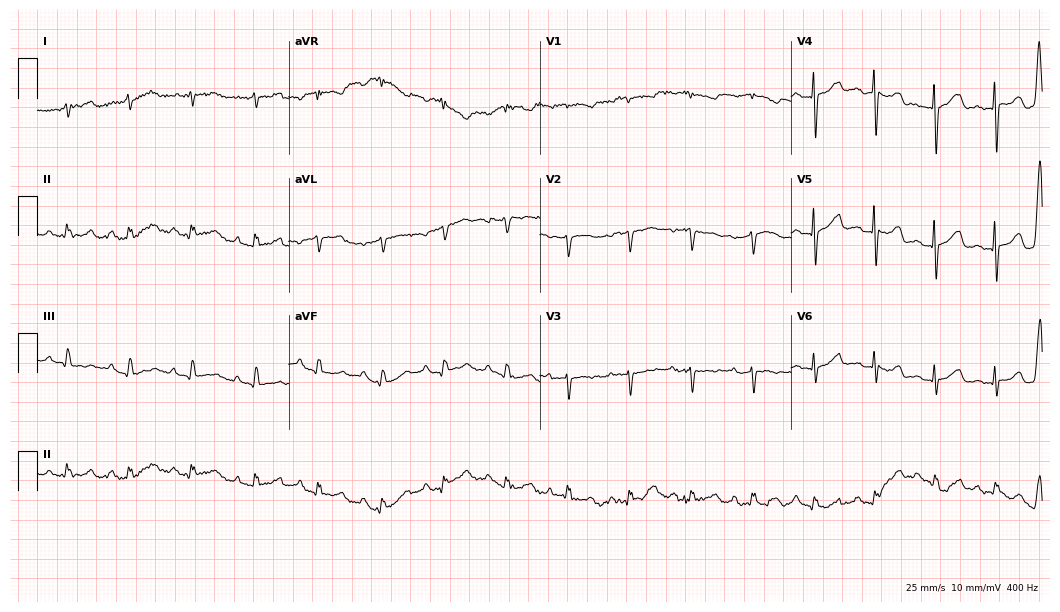
Standard 12-lead ECG recorded from a 65-year-old female patient. None of these six findings is recorded: first-degree AV block, right bundle branch block, left bundle branch block, sinus bradycardia, atrial fibrillation, sinus tachycardia. Other findings, if any, are not listed.